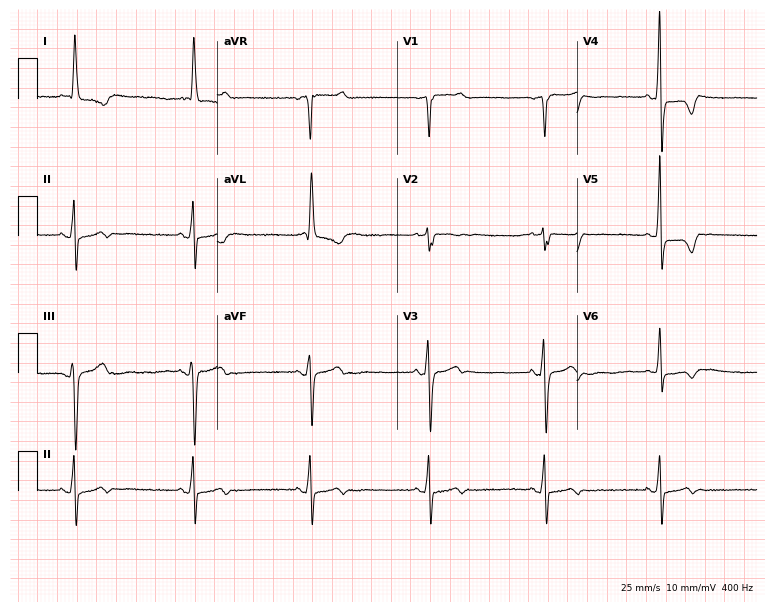
12-lead ECG from an 85-year-old female patient. Screened for six findings — first-degree AV block, right bundle branch block, left bundle branch block, sinus bradycardia, atrial fibrillation, sinus tachycardia — none is recorded.